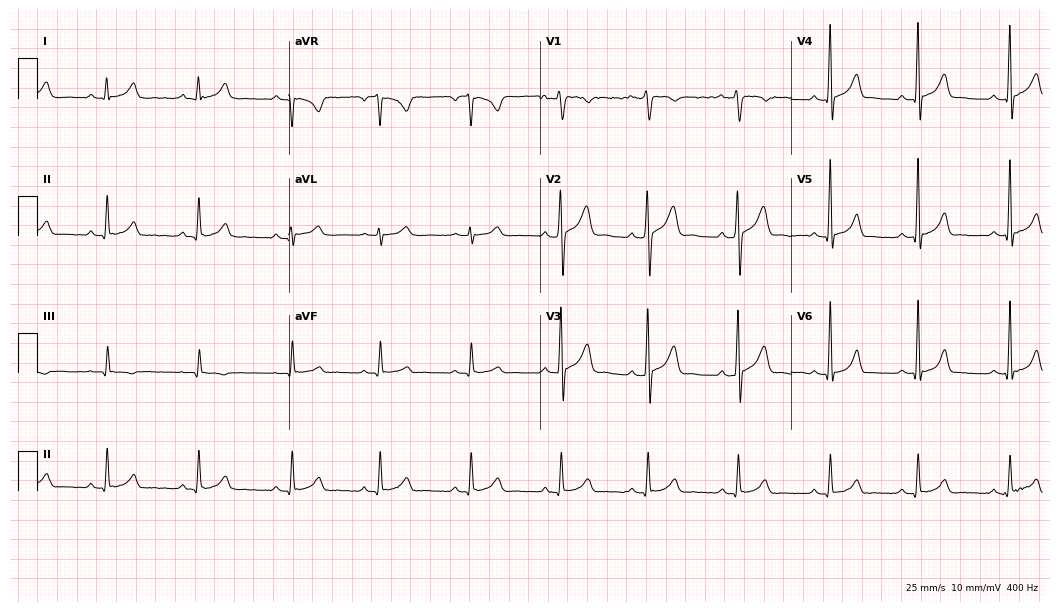
Standard 12-lead ECG recorded from a man, 28 years old. Read as a normal ECG.